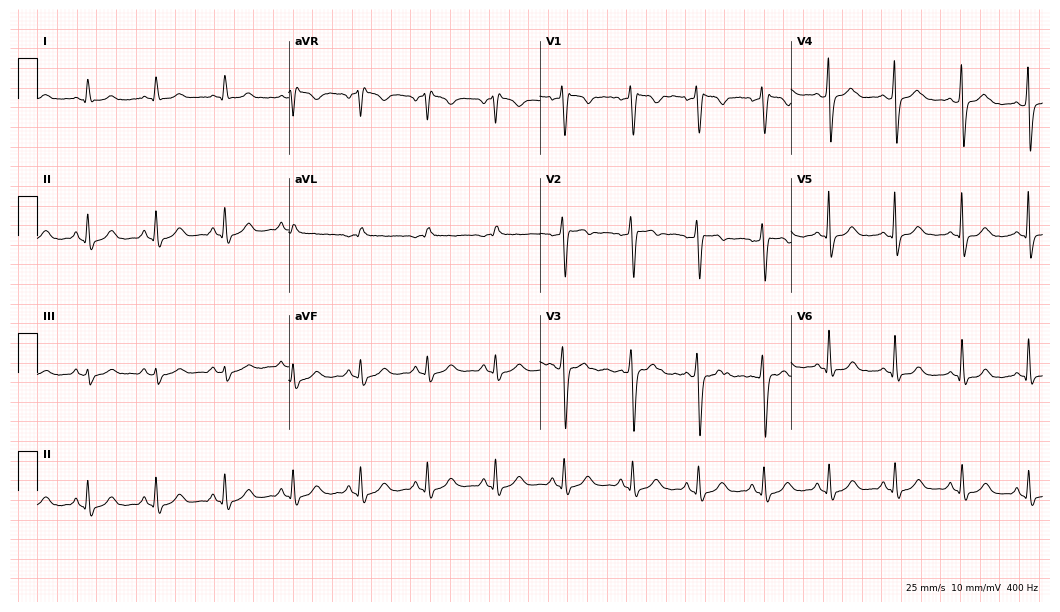
ECG (10.2-second recording at 400 Hz) — a 55-year-old woman. Screened for six findings — first-degree AV block, right bundle branch block (RBBB), left bundle branch block (LBBB), sinus bradycardia, atrial fibrillation (AF), sinus tachycardia — none is recorded. Findings outside these six are not listed.